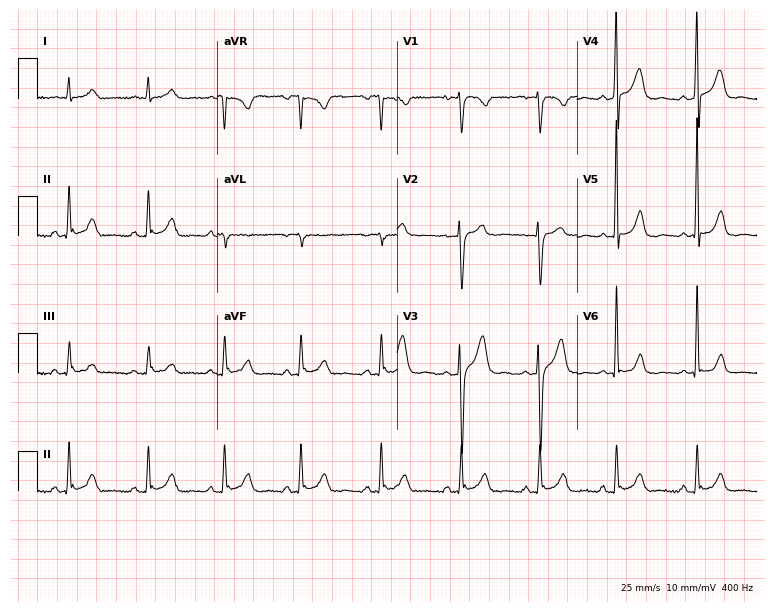
12-lead ECG (7.3-second recording at 400 Hz) from a 27-year-old man. Screened for six findings — first-degree AV block, right bundle branch block, left bundle branch block, sinus bradycardia, atrial fibrillation, sinus tachycardia — none is recorded. Other findings, if any, are not listed.